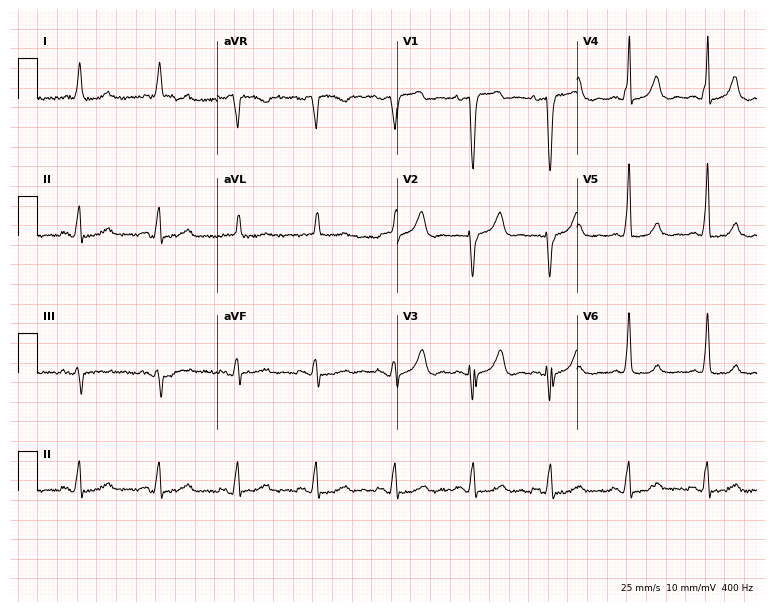
Resting 12-lead electrocardiogram (7.3-second recording at 400 Hz). Patient: a female, 76 years old. None of these six findings is recorded: first-degree AV block, right bundle branch block, left bundle branch block, sinus bradycardia, atrial fibrillation, sinus tachycardia. Other findings, if any, are not listed.